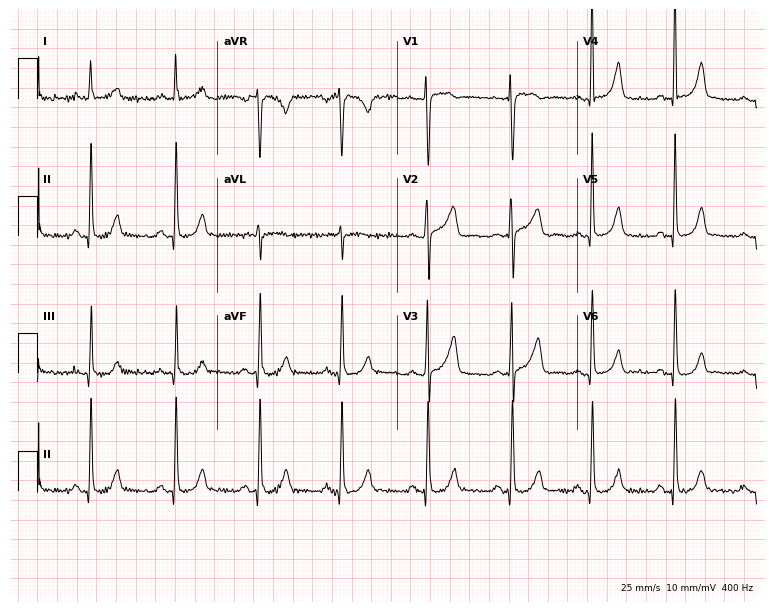
Electrocardiogram, a female patient, 43 years old. Overall reading on record: normal ECG.